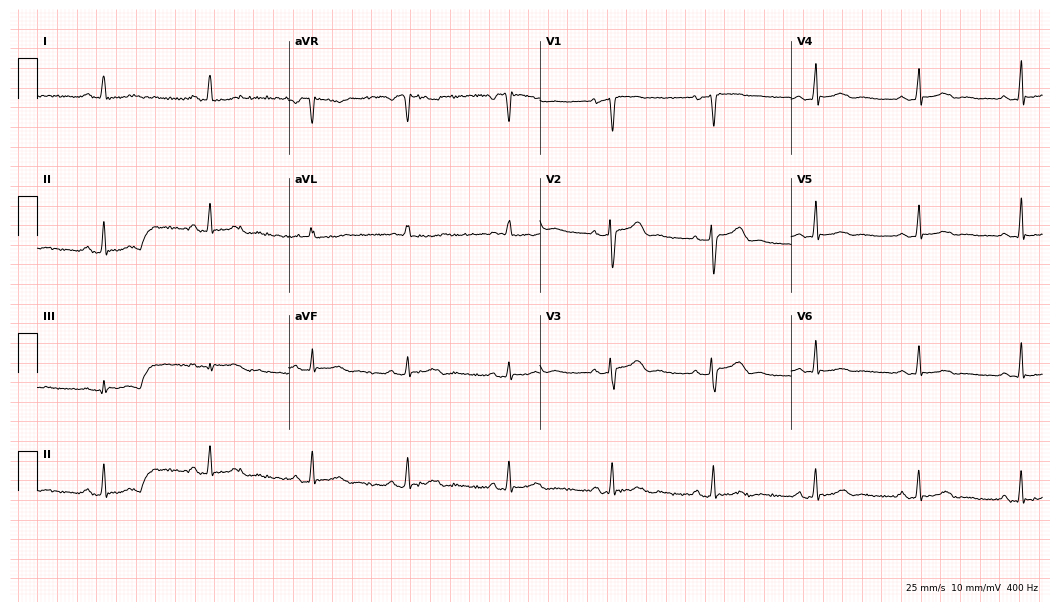
Resting 12-lead electrocardiogram (10.2-second recording at 400 Hz). Patient: a woman, 50 years old. None of these six findings is recorded: first-degree AV block, right bundle branch block, left bundle branch block, sinus bradycardia, atrial fibrillation, sinus tachycardia. Only these six findings were labelled.